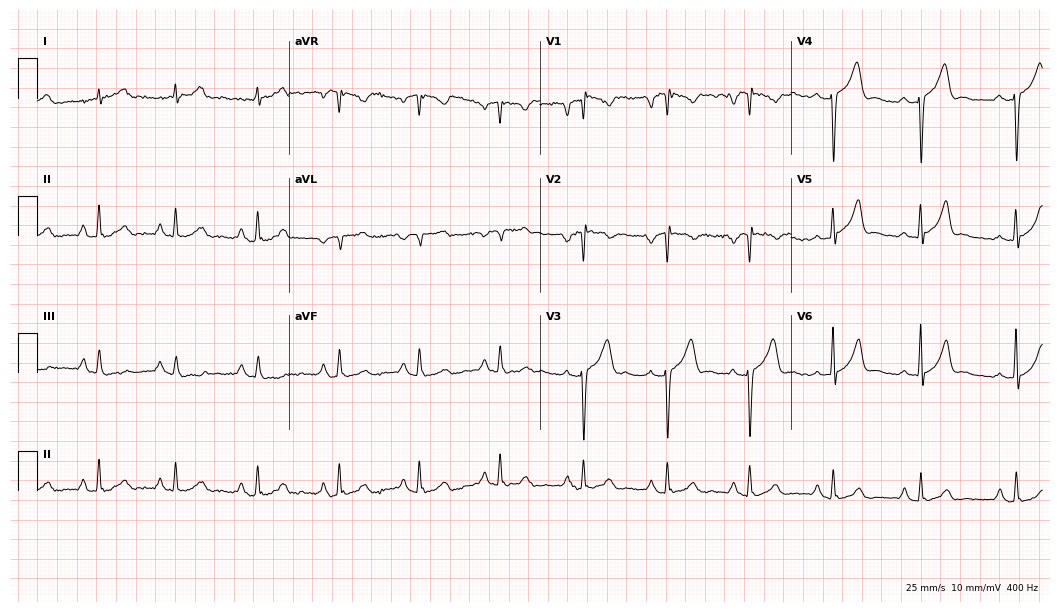
Electrocardiogram, a 23-year-old male patient. Of the six screened findings (first-degree AV block, right bundle branch block (RBBB), left bundle branch block (LBBB), sinus bradycardia, atrial fibrillation (AF), sinus tachycardia), none is recorded. Findings outside these six are not listed.